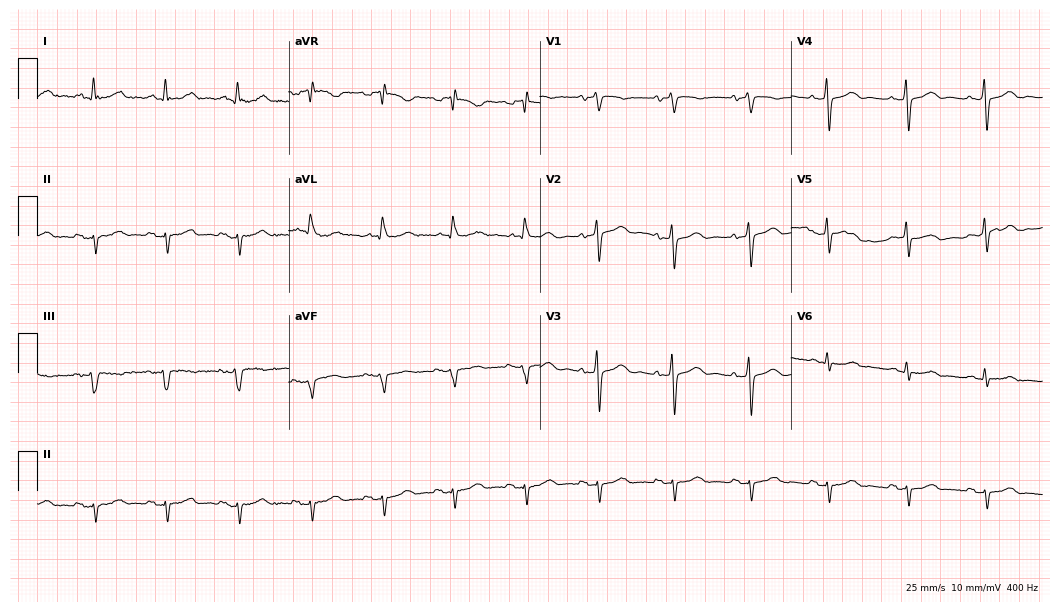
12-lead ECG (10.2-second recording at 400 Hz) from a 79-year-old female. Screened for six findings — first-degree AV block, right bundle branch block, left bundle branch block, sinus bradycardia, atrial fibrillation, sinus tachycardia — none is recorded. Other findings, if any, are not listed.